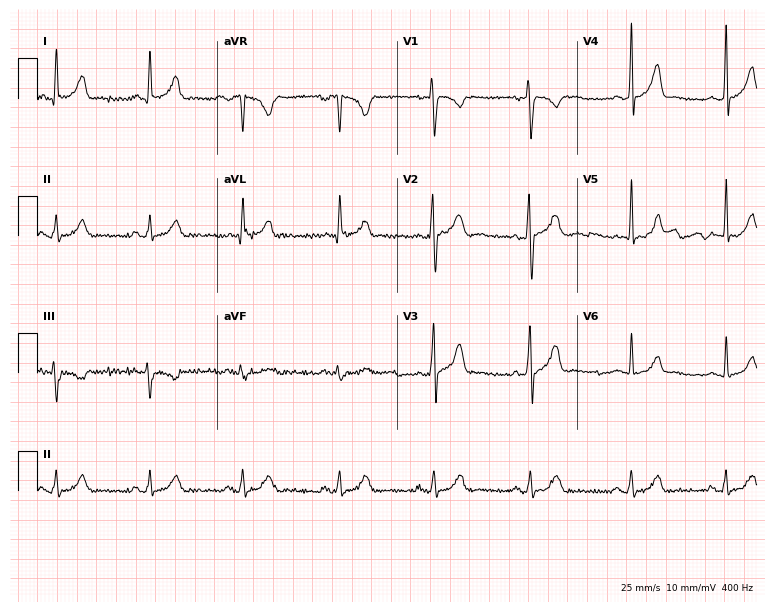
ECG — a 38-year-old male patient. Labelled as a normal ECG.